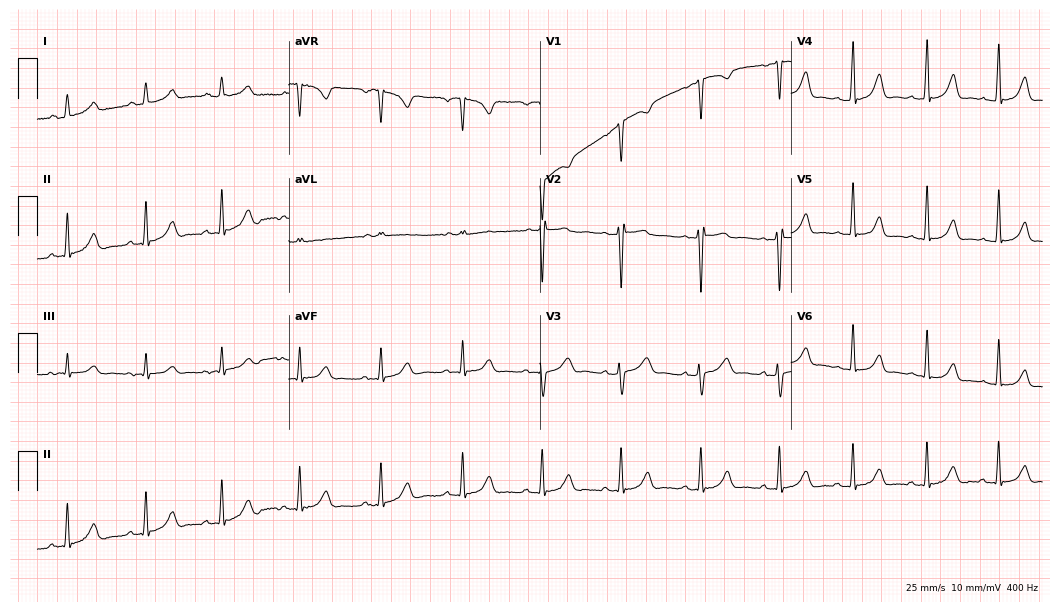
ECG — a 30-year-old female patient. Labelled as a normal ECG.